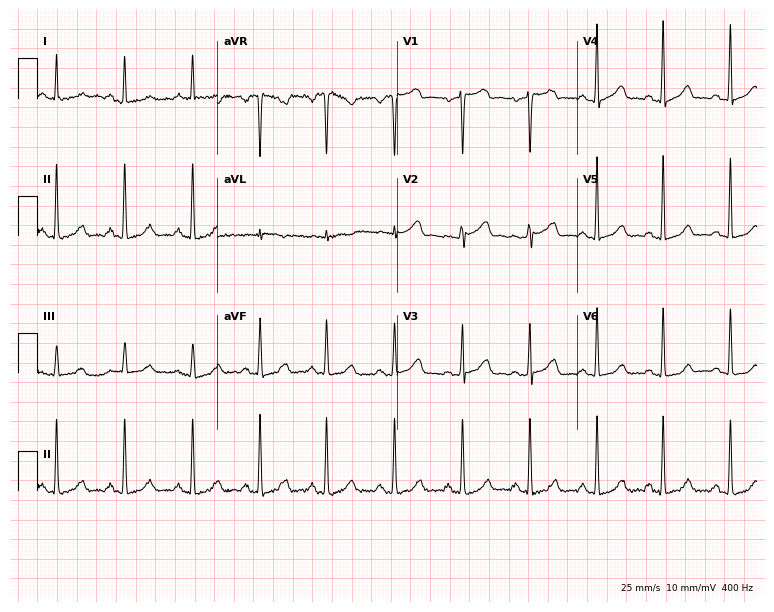
Electrocardiogram (7.3-second recording at 400 Hz), a woman, 65 years old. Of the six screened findings (first-degree AV block, right bundle branch block, left bundle branch block, sinus bradycardia, atrial fibrillation, sinus tachycardia), none is recorded.